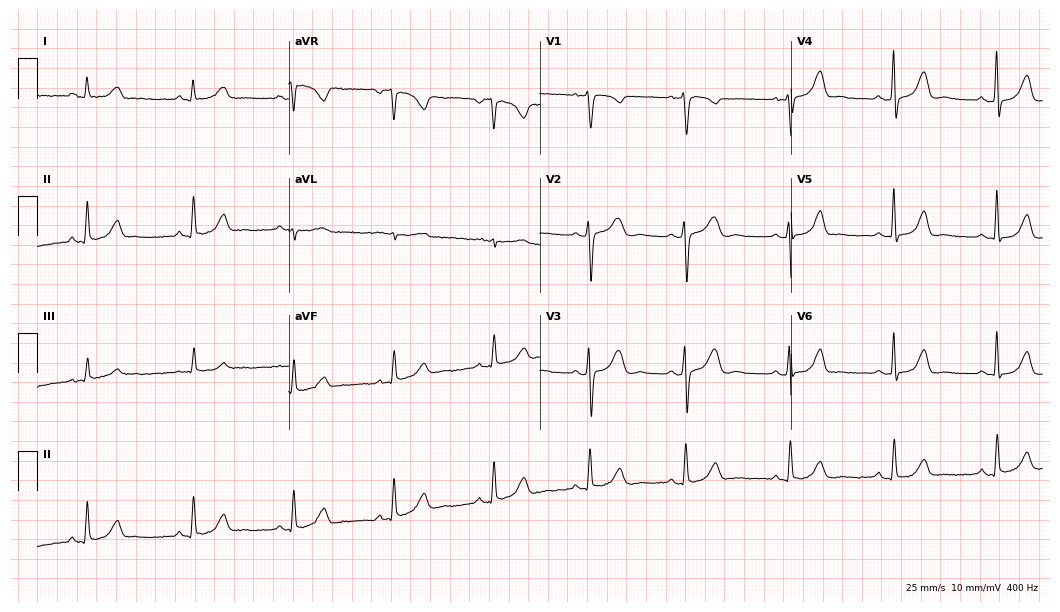
ECG — a female patient, 53 years old. Labelled as a normal ECG.